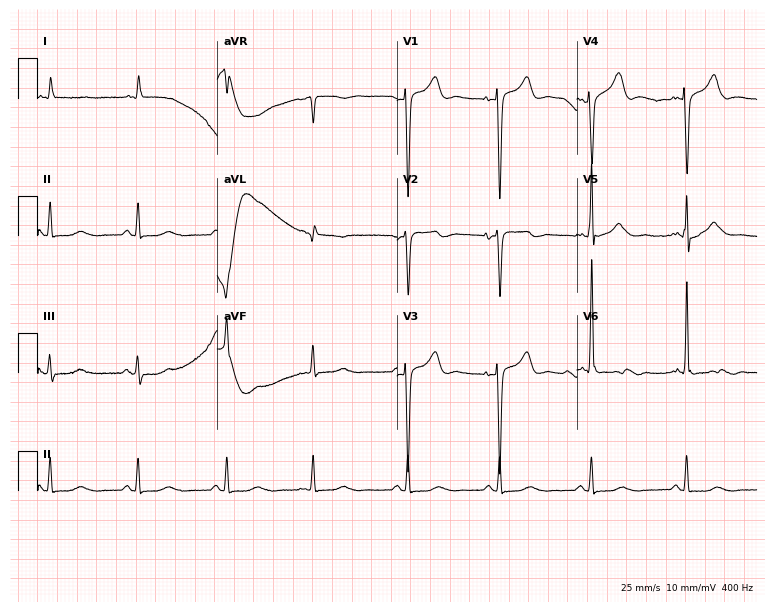
Electrocardiogram, a male, 77 years old. Of the six screened findings (first-degree AV block, right bundle branch block, left bundle branch block, sinus bradycardia, atrial fibrillation, sinus tachycardia), none is recorded. Findings outside these six are not listed.